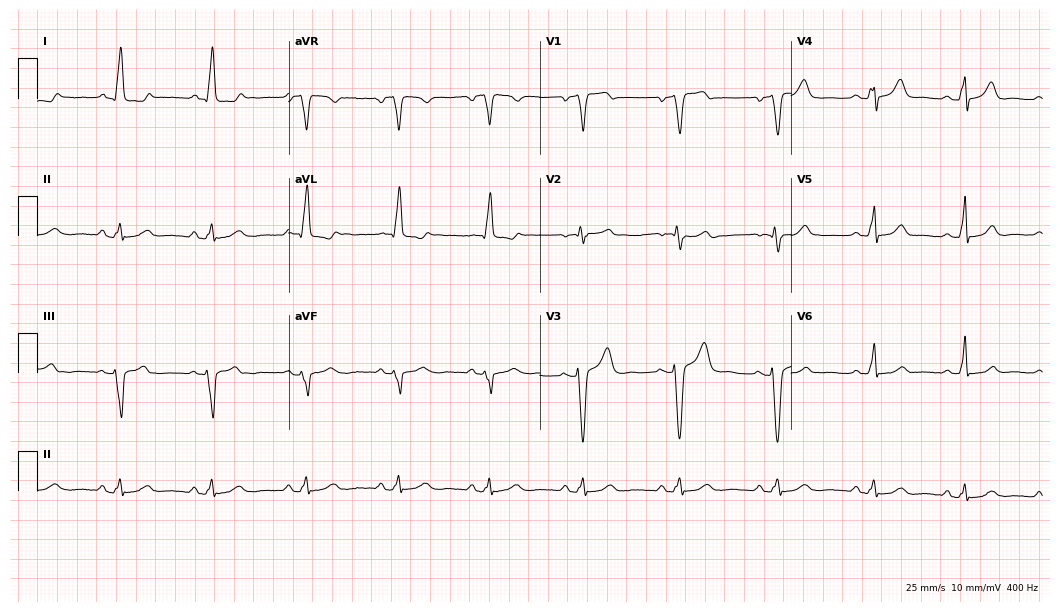
12-lead ECG from a 50-year-old female patient (10.2-second recording at 400 Hz). No first-degree AV block, right bundle branch block, left bundle branch block, sinus bradycardia, atrial fibrillation or sinus tachycardia recorded for this tracing. Other findings, if any, are not listed.